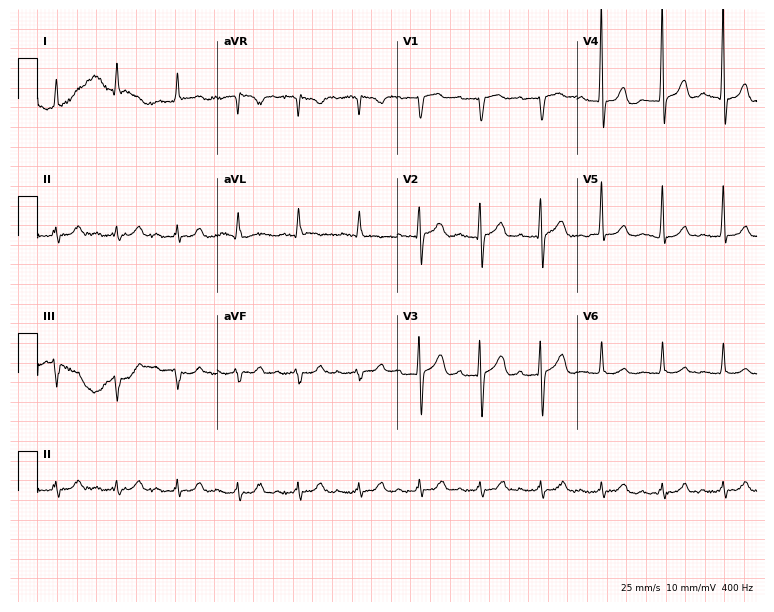
Standard 12-lead ECG recorded from an 84-year-old woman (7.3-second recording at 400 Hz). None of these six findings is recorded: first-degree AV block, right bundle branch block, left bundle branch block, sinus bradycardia, atrial fibrillation, sinus tachycardia.